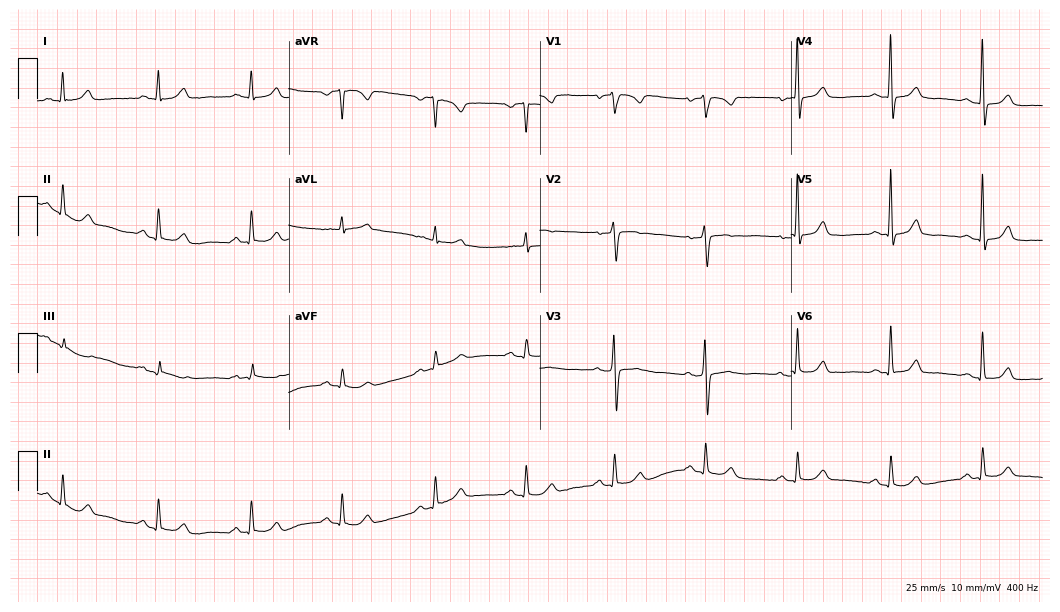
ECG (10.2-second recording at 400 Hz) — a 66-year-old female. Labelled as a normal ECG.